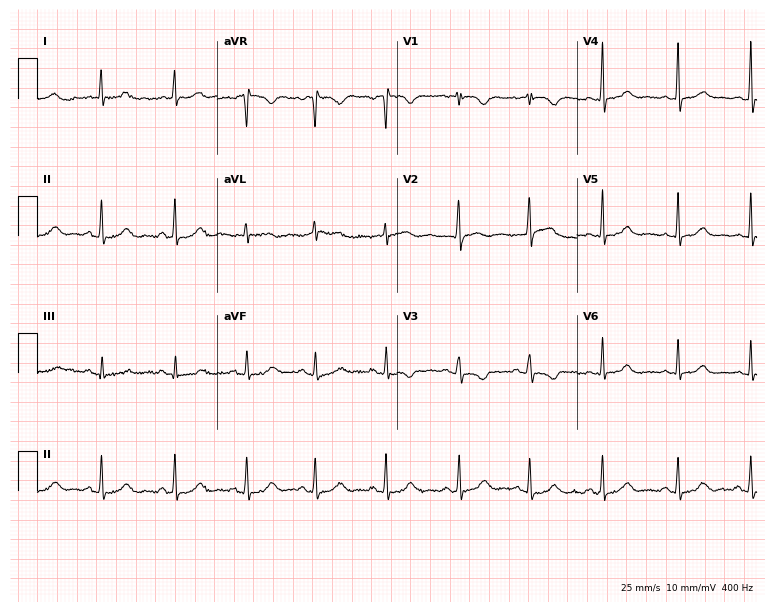
Standard 12-lead ECG recorded from a 28-year-old female patient. Read as a normal ECG.